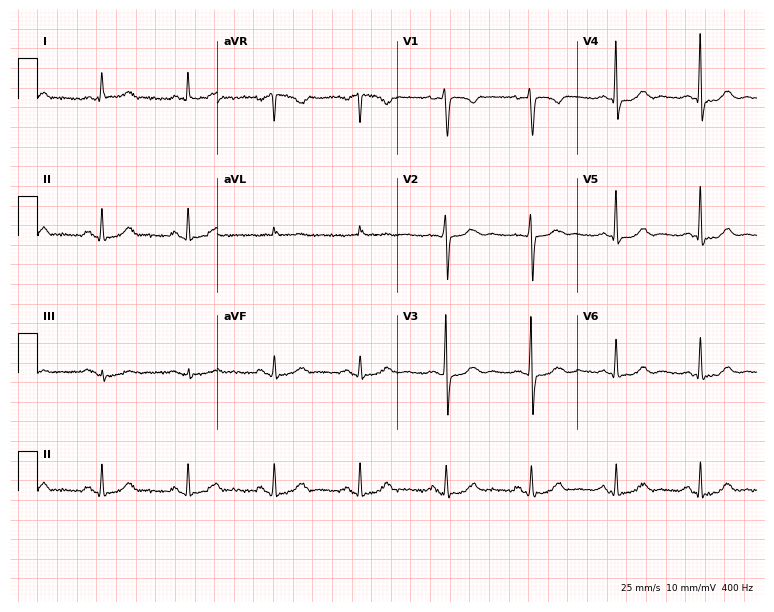
Resting 12-lead electrocardiogram (7.3-second recording at 400 Hz). Patient: a female, 61 years old. Read as a normal ECG.